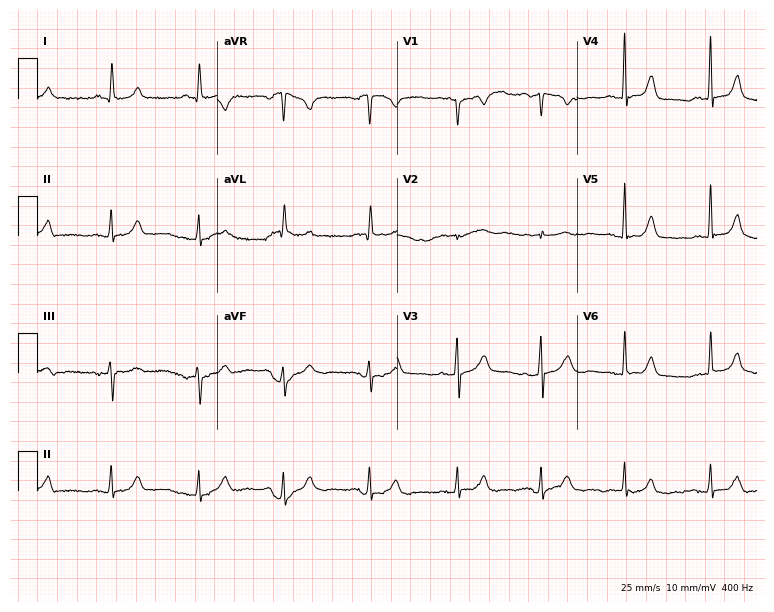
Resting 12-lead electrocardiogram (7.3-second recording at 400 Hz). Patient: a female, 66 years old. Read as a normal ECG.